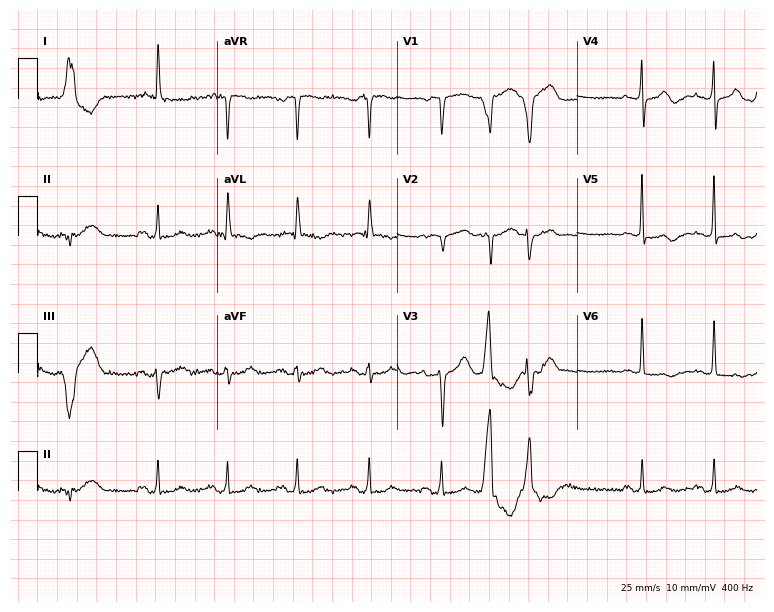
Electrocardiogram, a female, 78 years old. Of the six screened findings (first-degree AV block, right bundle branch block (RBBB), left bundle branch block (LBBB), sinus bradycardia, atrial fibrillation (AF), sinus tachycardia), none is recorded. Findings outside these six are not listed.